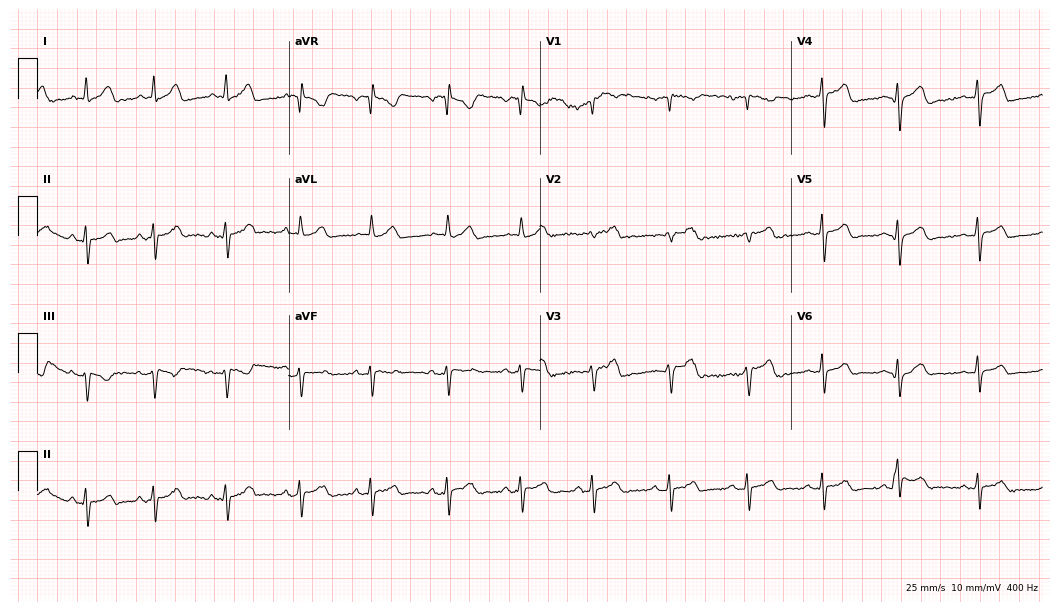
12-lead ECG from a female, 50 years old (10.2-second recording at 400 Hz). No first-degree AV block, right bundle branch block, left bundle branch block, sinus bradycardia, atrial fibrillation or sinus tachycardia recorded for this tracing.